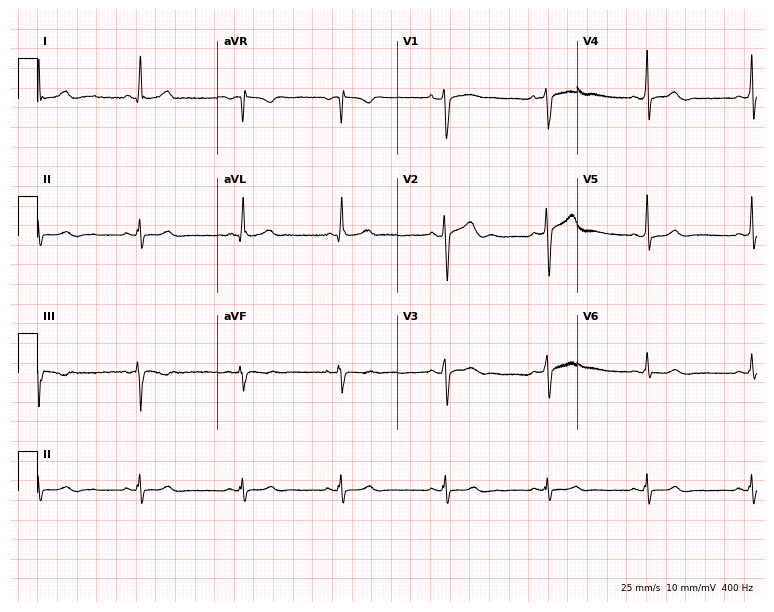
12-lead ECG (7.3-second recording at 400 Hz) from a male patient, 38 years old. Screened for six findings — first-degree AV block, right bundle branch block, left bundle branch block, sinus bradycardia, atrial fibrillation, sinus tachycardia — none is recorded.